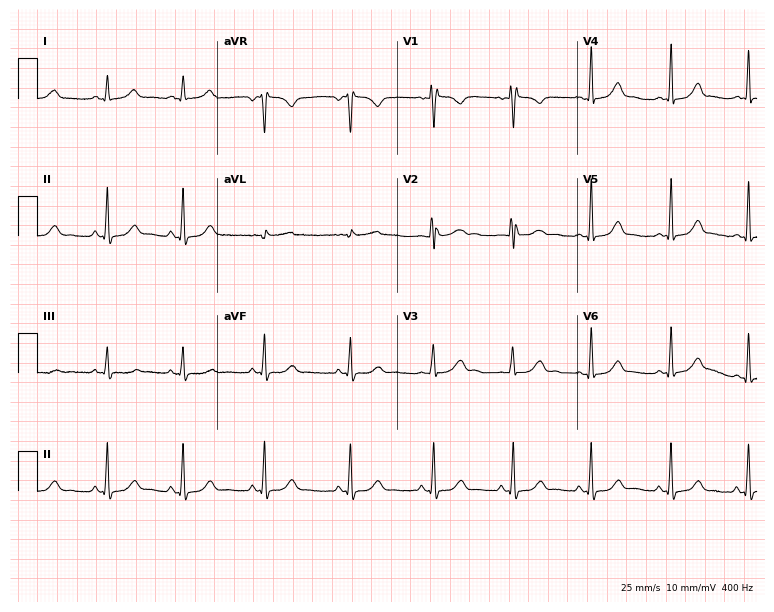
Standard 12-lead ECG recorded from a 32-year-old female (7.3-second recording at 400 Hz). None of these six findings is recorded: first-degree AV block, right bundle branch block, left bundle branch block, sinus bradycardia, atrial fibrillation, sinus tachycardia. Only these six findings were labelled.